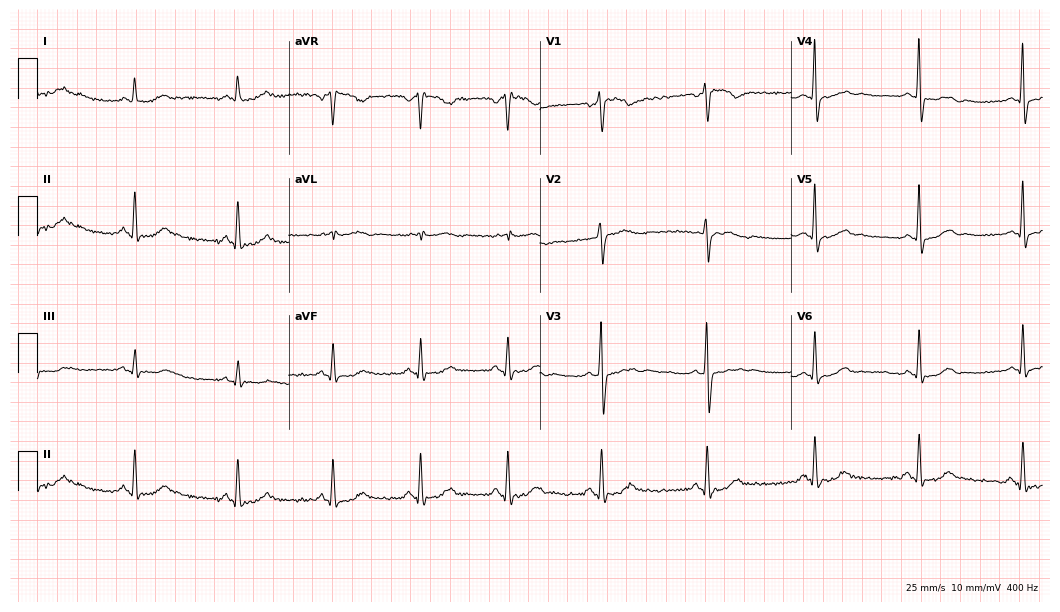
12-lead ECG (10.2-second recording at 400 Hz) from a 52-year-old man. Screened for six findings — first-degree AV block, right bundle branch block, left bundle branch block, sinus bradycardia, atrial fibrillation, sinus tachycardia — none is recorded.